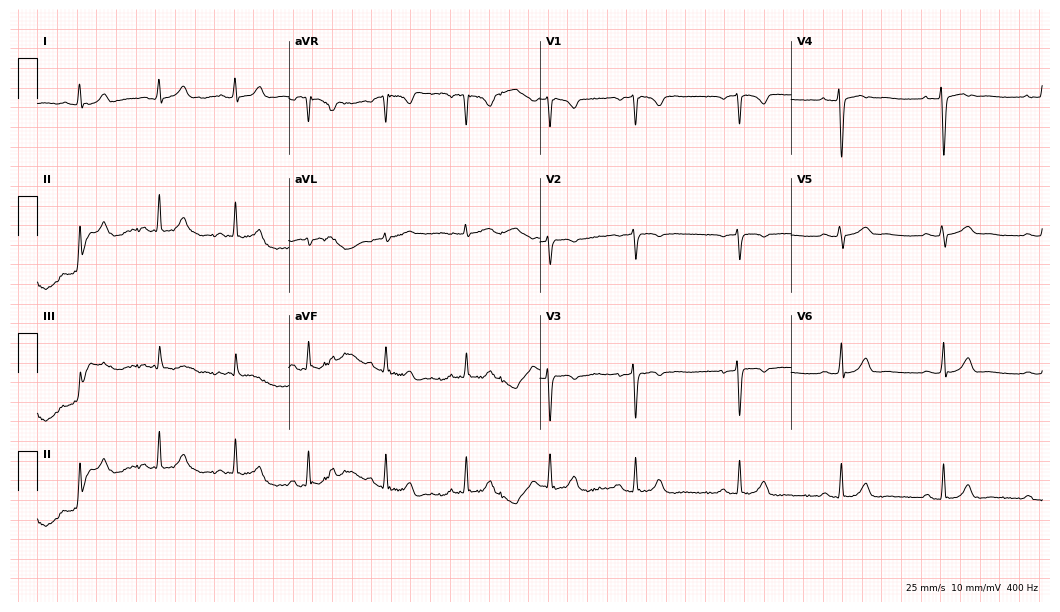
12-lead ECG from a 24-year-old woman. No first-degree AV block, right bundle branch block (RBBB), left bundle branch block (LBBB), sinus bradycardia, atrial fibrillation (AF) or sinus tachycardia recorded for this tracing.